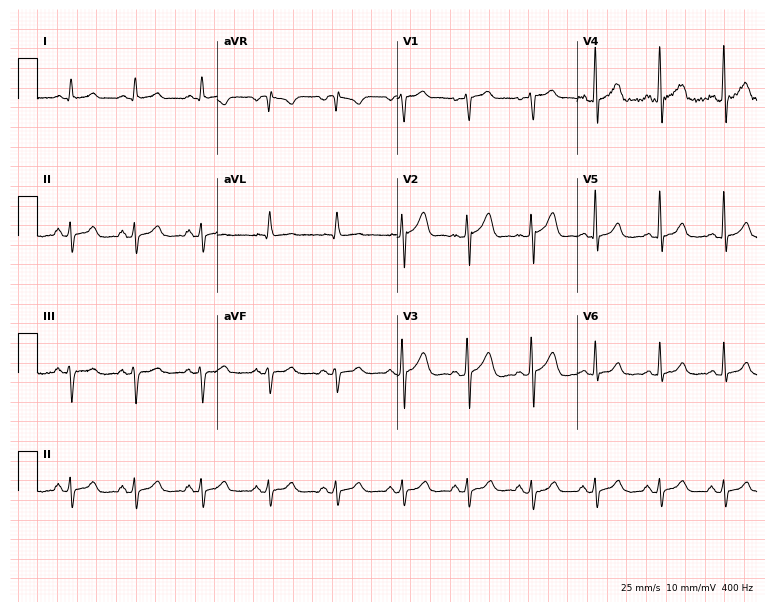
Electrocardiogram (7.3-second recording at 400 Hz), a male, 61 years old. Of the six screened findings (first-degree AV block, right bundle branch block, left bundle branch block, sinus bradycardia, atrial fibrillation, sinus tachycardia), none is recorded.